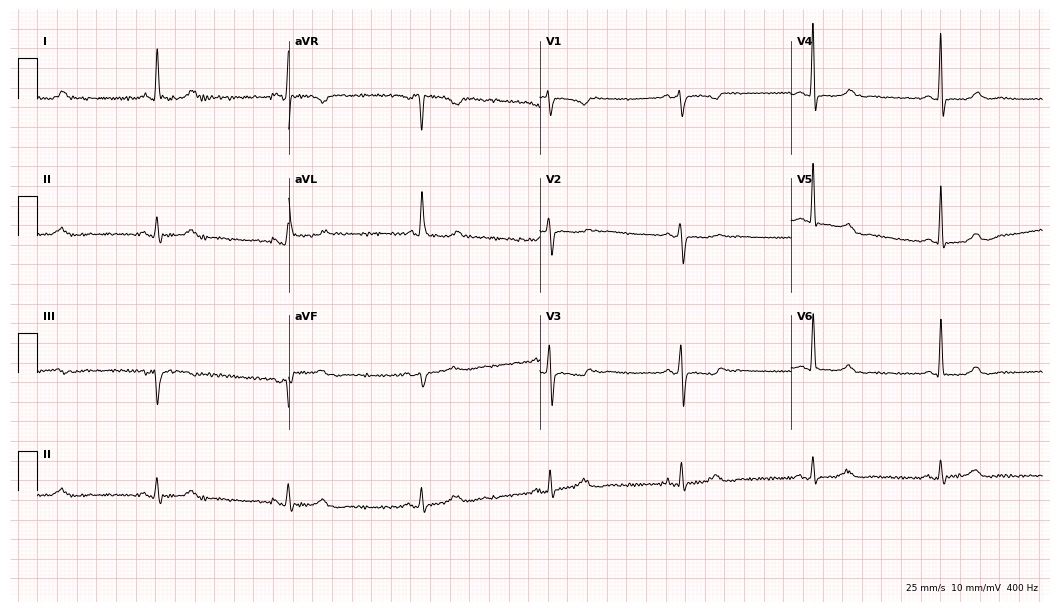
12-lead ECG from a 69-year-old female. Findings include sinus bradycardia (a sinus rate of 50 beats per minute or less).